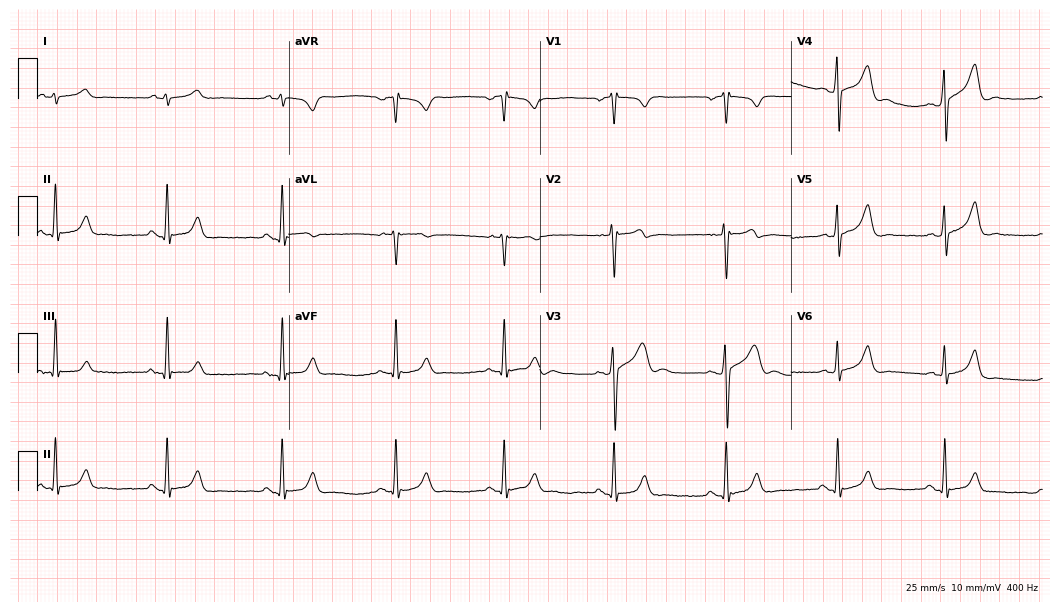
Electrocardiogram, a 34-year-old male. Overall reading on record: normal ECG.